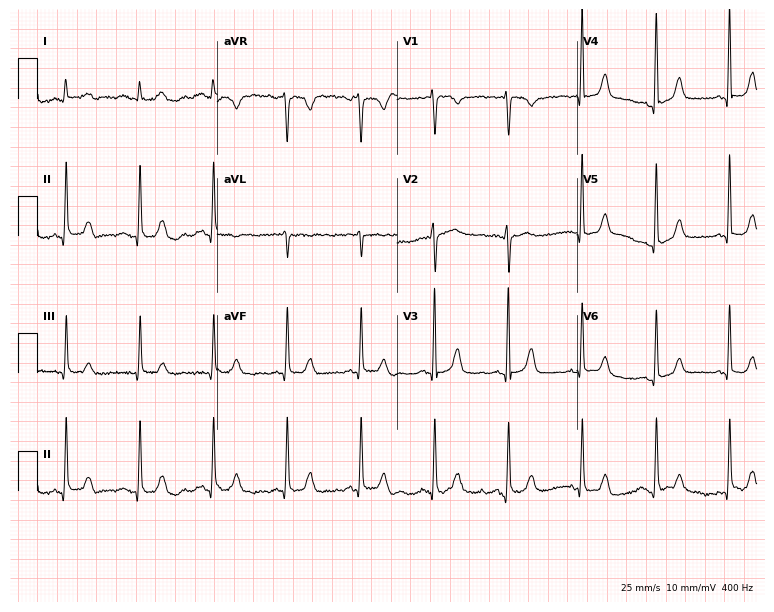
12-lead ECG from a 78-year-old female patient (7.3-second recording at 400 Hz). Recorded interpretation: within normal limits.